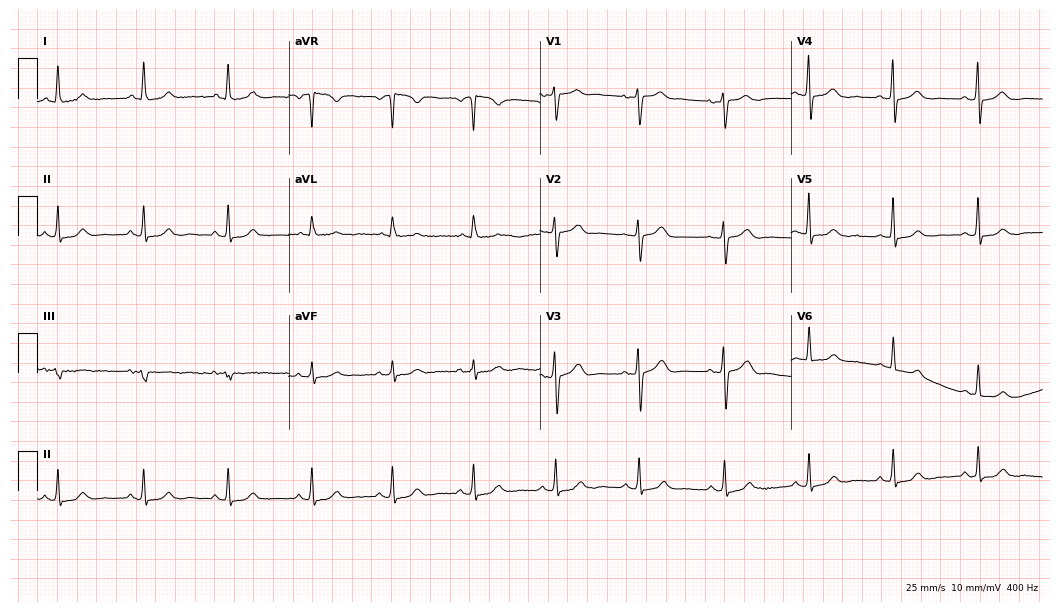
12-lead ECG from a 47-year-old woman. Recorded interpretation: within normal limits.